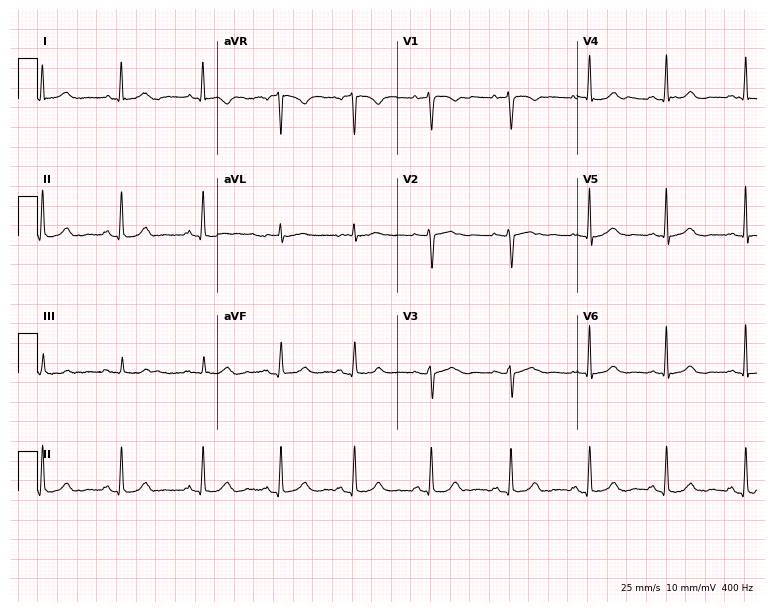
12-lead ECG from a woman, 39 years old. Labelled as a normal ECG.